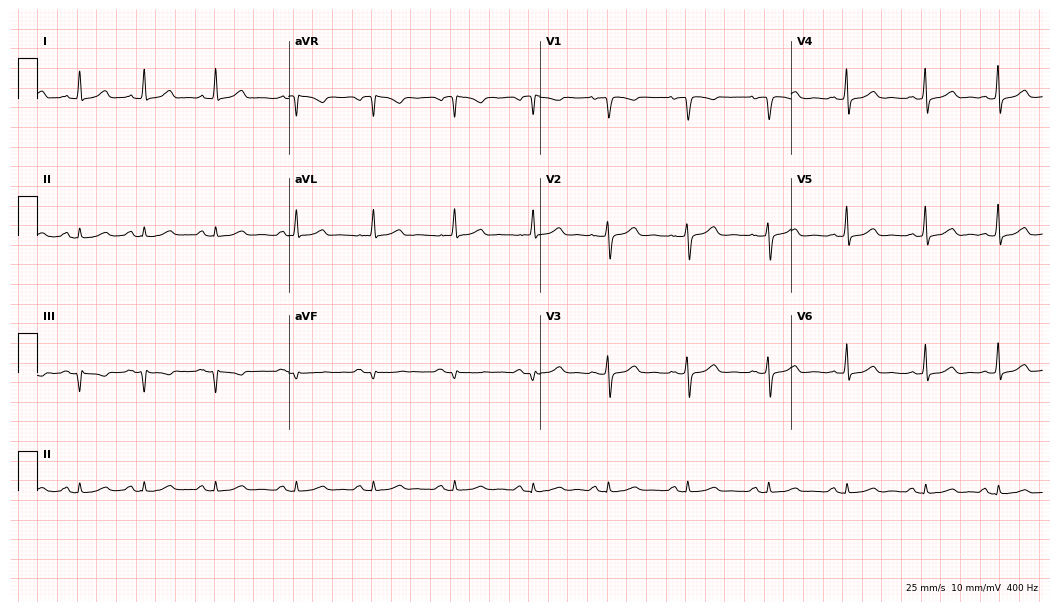
Electrocardiogram (10.2-second recording at 400 Hz), a woman, 50 years old. Of the six screened findings (first-degree AV block, right bundle branch block (RBBB), left bundle branch block (LBBB), sinus bradycardia, atrial fibrillation (AF), sinus tachycardia), none is recorded. Only these six findings were labelled.